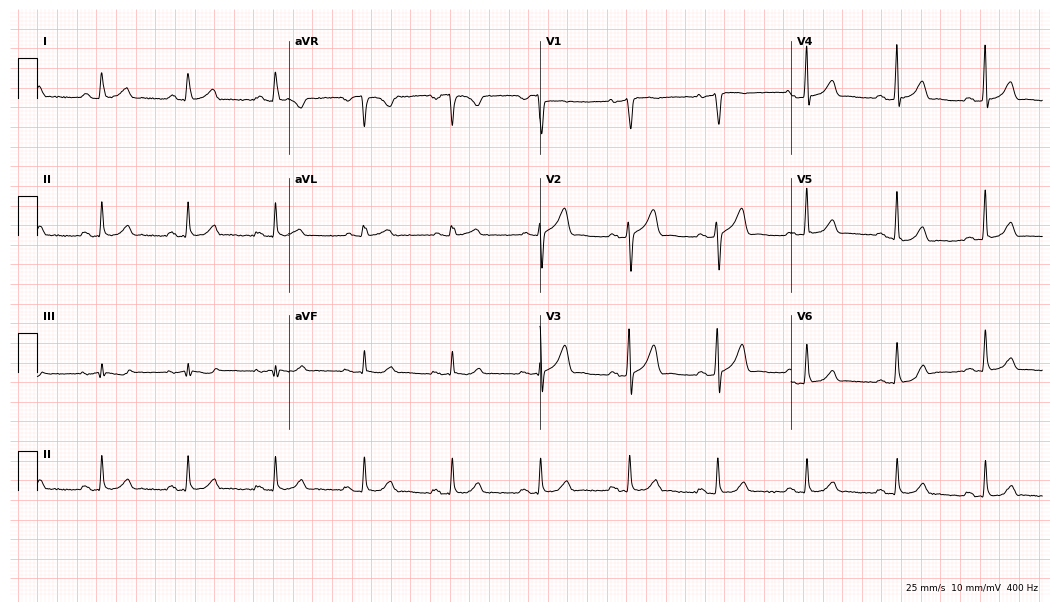
12-lead ECG from a 60-year-old woman. Recorded interpretation: within normal limits.